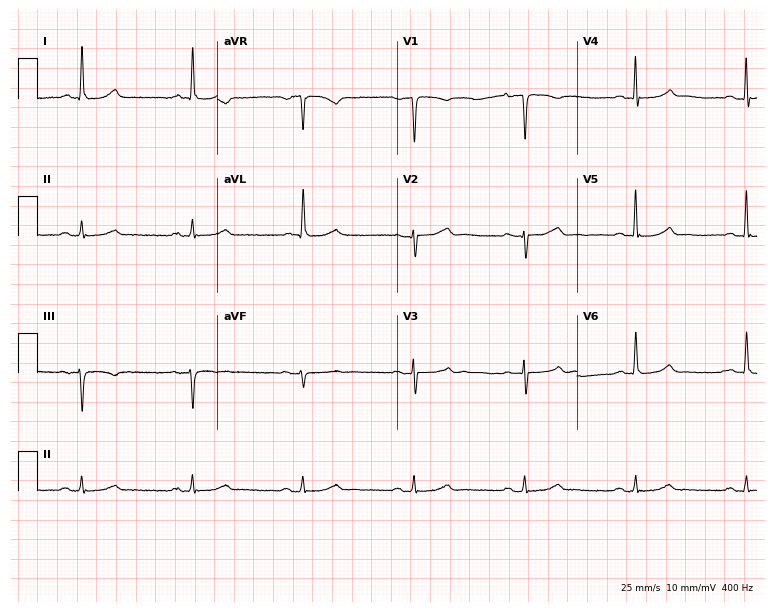
ECG — a male patient, 87 years old. Labelled as a normal ECG.